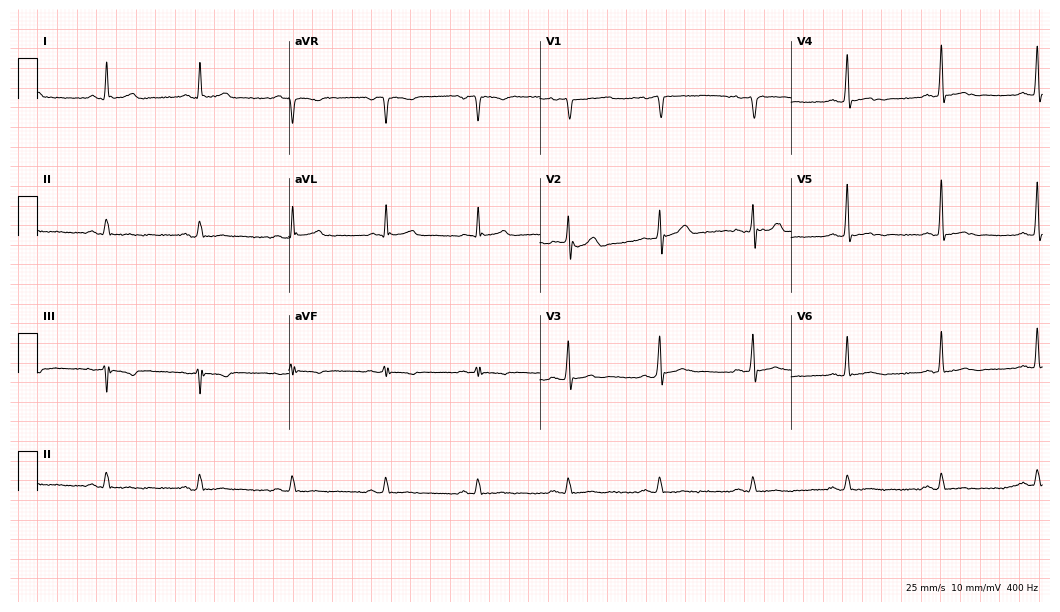
Resting 12-lead electrocardiogram (10.2-second recording at 400 Hz). Patient: a male, 41 years old. None of these six findings is recorded: first-degree AV block, right bundle branch block, left bundle branch block, sinus bradycardia, atrial fibrillation, sinus tachycardia.